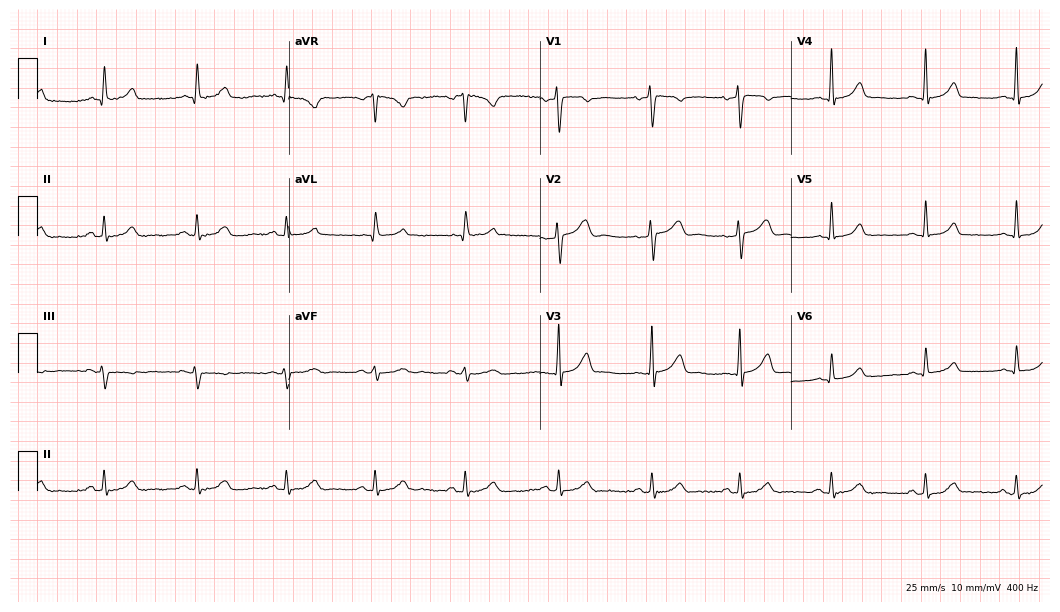
Resting 12-lead electrocardiogram (10.2-second recording at 400 Hz). Patient: a 39-year-old woman. Read as a normal ECG.